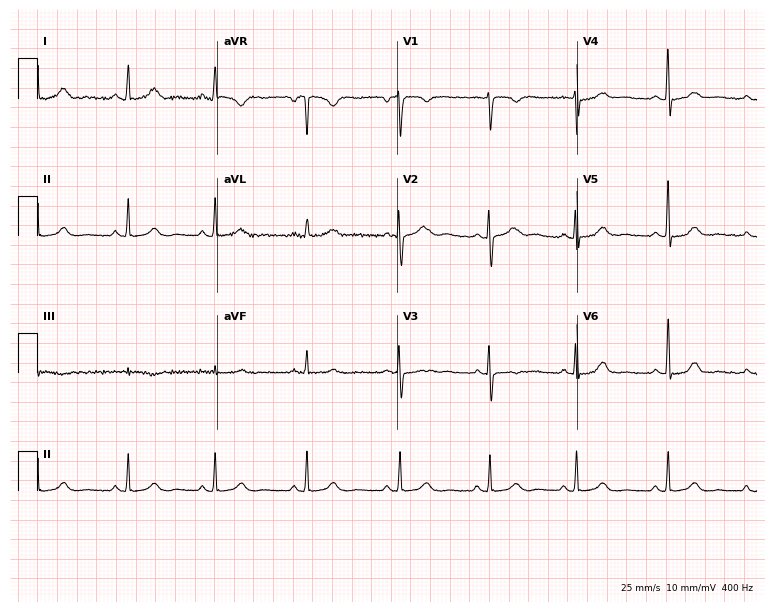
ECG (7.3-second recording at 400 Hz) — a 36-year-old female. Labelled as a normal ECG.